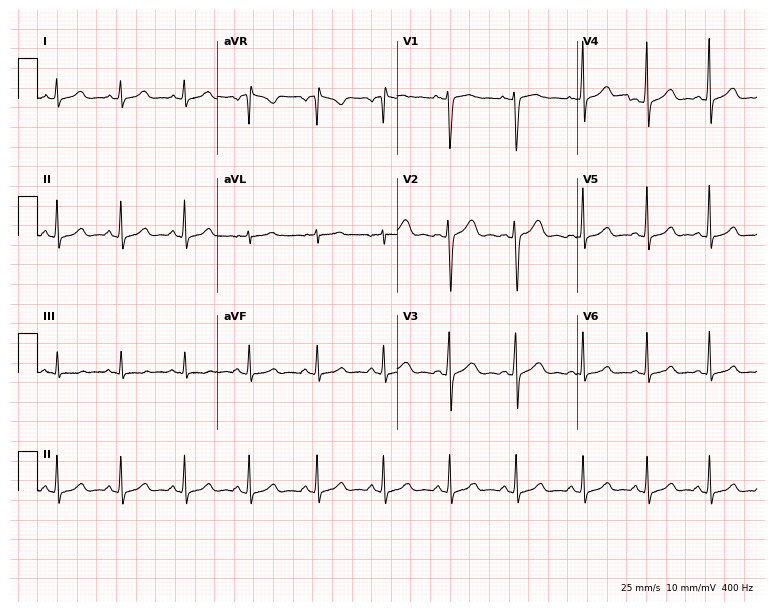
Standard 12-lead ECG recorded from a female, 24 years old. Read as a normal ECG.